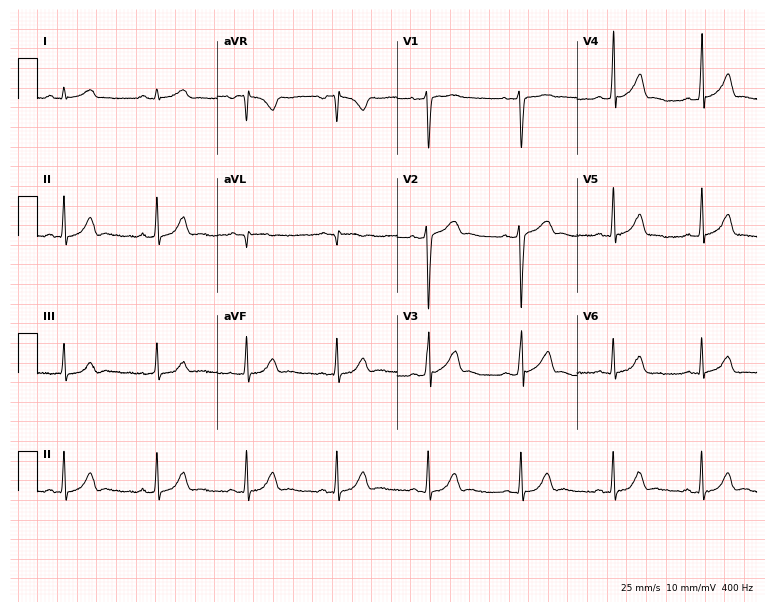
12-lead ECG from a 17-year-old male patient (7.3-second recording at 400 Hz). Recorded interpretation: within normal limits.